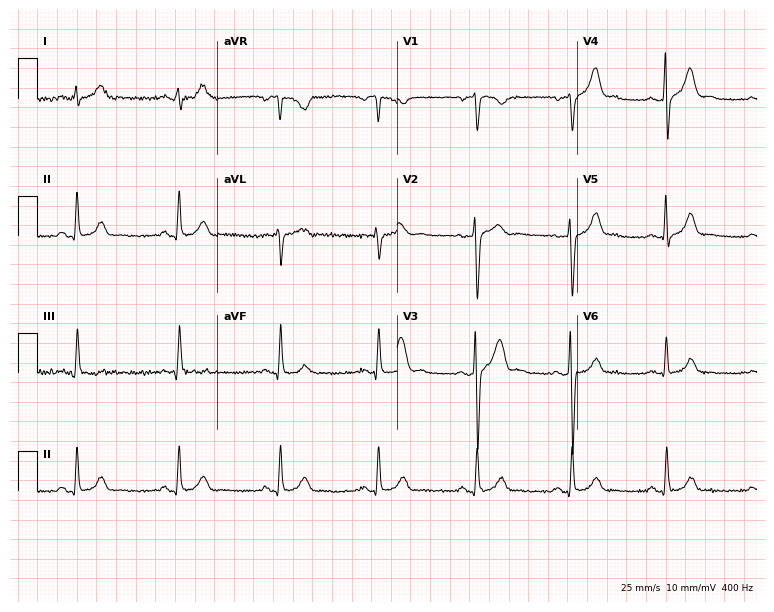
12-lead ECG from a 43-year-old man (7.3-second recording at 400 Hz). Recorded interpretation: within normal limits.